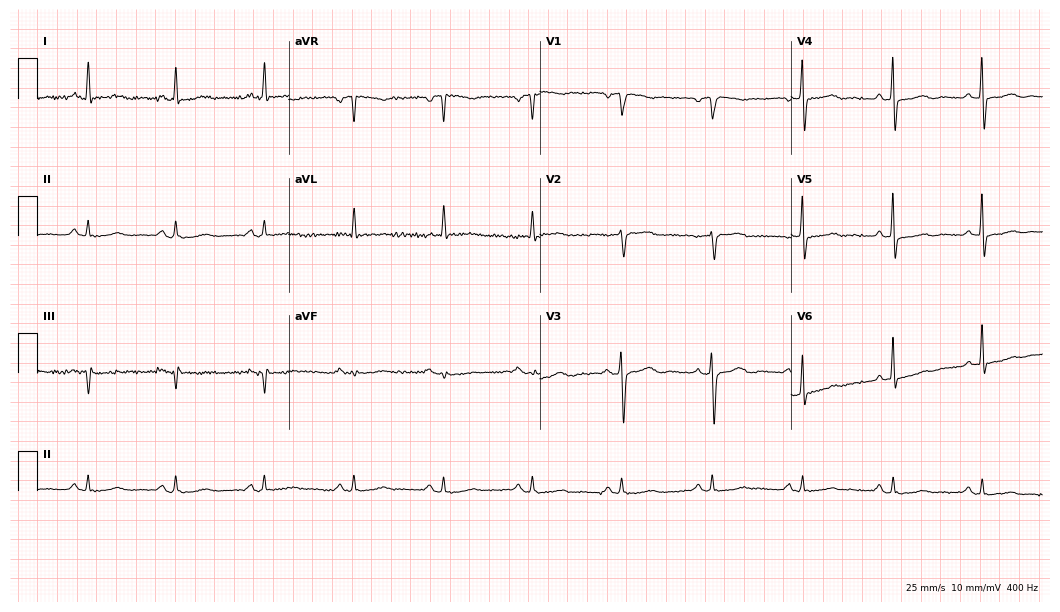
12-lead ECG from an 81-year-old female. No first-degree AV block, right bundle branch block (RBBB), left bundle branch block (LBBB), sinus bradycardia, atrial fibrillation (AF) or sinus tachycardia recorded for this tracing.